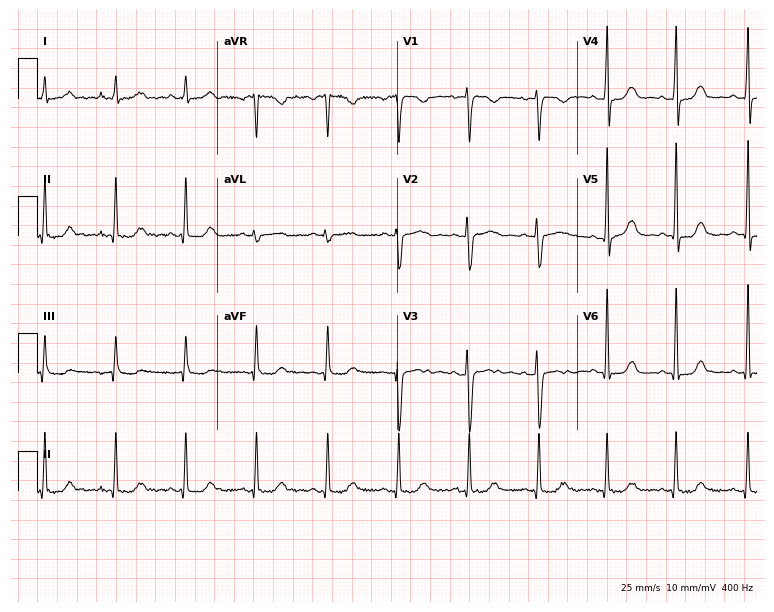
12-lead ECG (7.3-second recording at 400 Hz) from a 24-year-old woman. Labelled as a normal ECG.